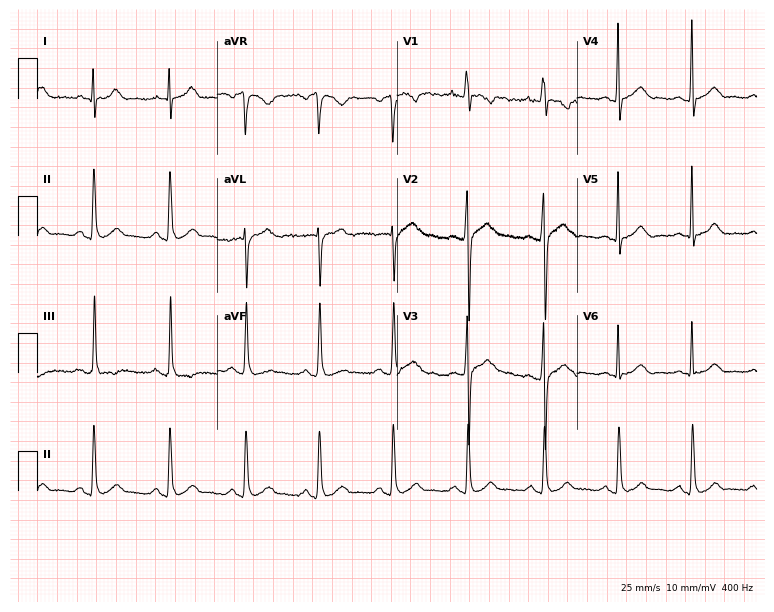
ECG (7.3-second recording at 400 Hz) — a male, 37 years old. Labelled as a normal ECG.